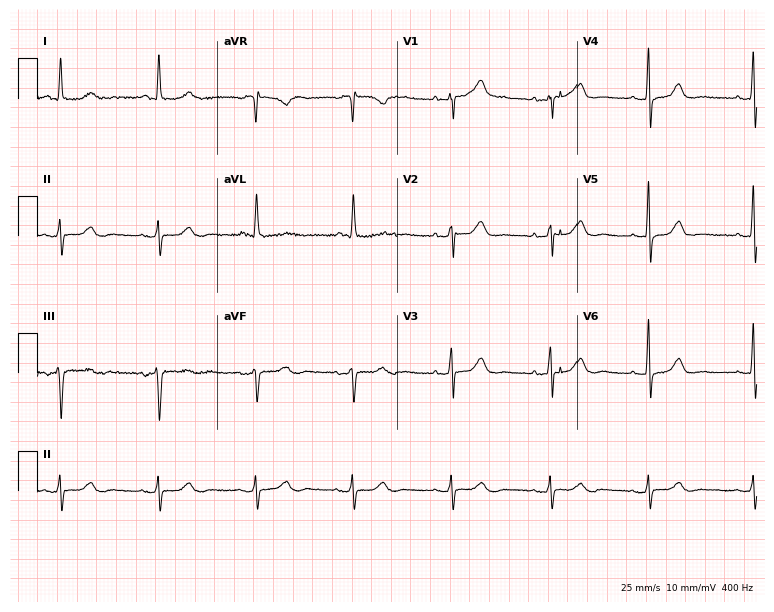
Resting 12-lead electrocardiogram (7.3-second recording at 400 Hz). Patient: a 59-year-old female. None of these six findings is recorded: first-degree AV block, right bundle branch block, left bundle branch block, sinus bradycardia, atrial fibrillation, sinus tachycardia. Findings outside these six are not listed.